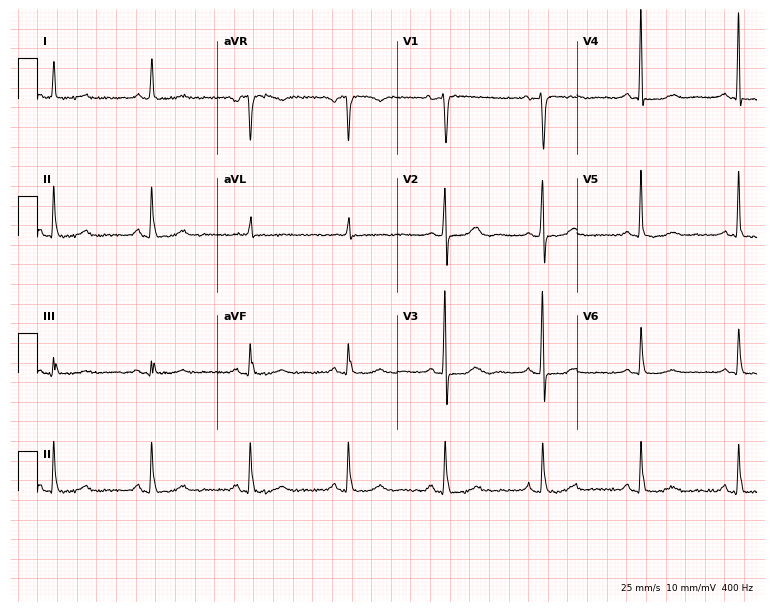
Electrocardiogram (7.3-second recording at 400 Hz), a woman, 73 years old. Overall reading on record: normal ECG.